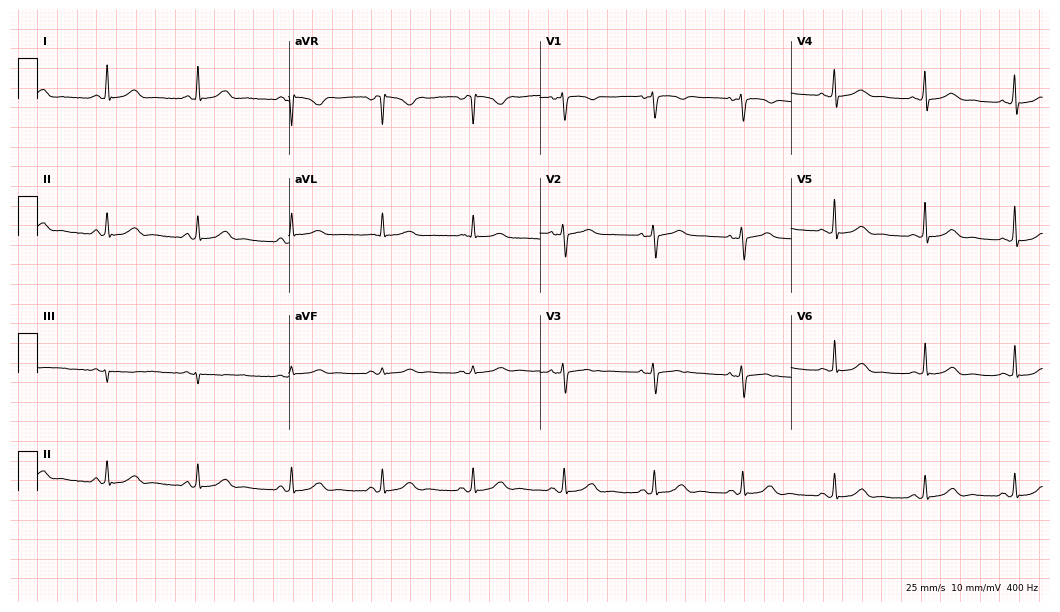
Standard 12-lead ECG recorded from a 49-year-old female patient. Read as a normal ECG.